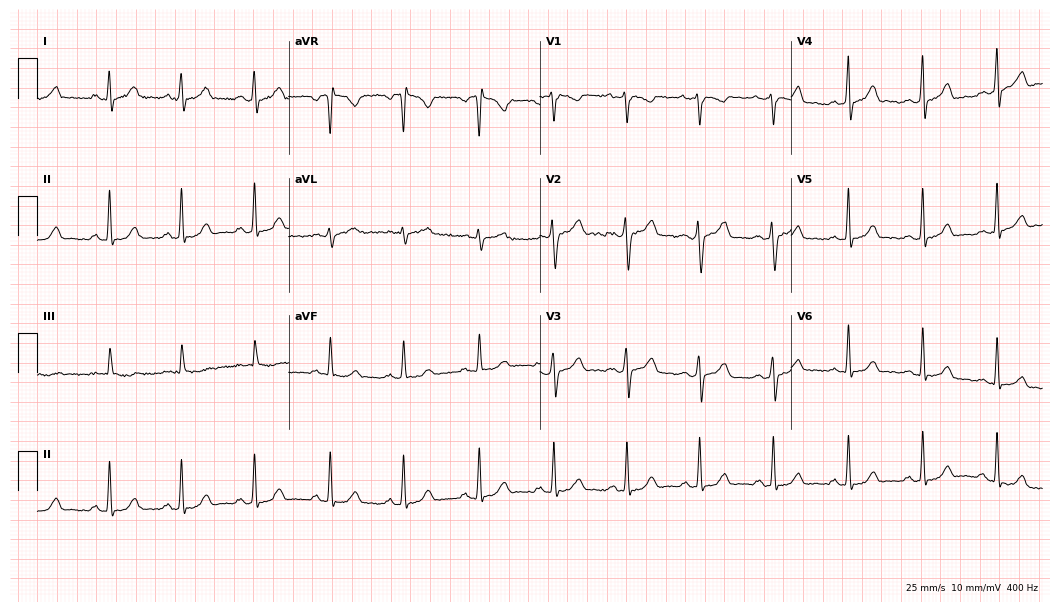
Resting 12-lead electrocardiogram. Patient: a 30-year-old female. Read as a normal ECG.